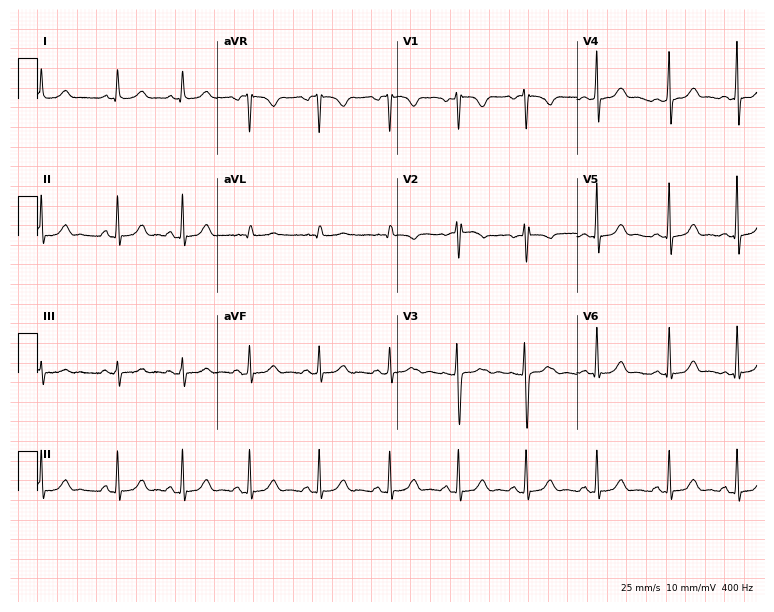
12-lead ECG from a woman, 26 years old. Labelled as a normal ECG.